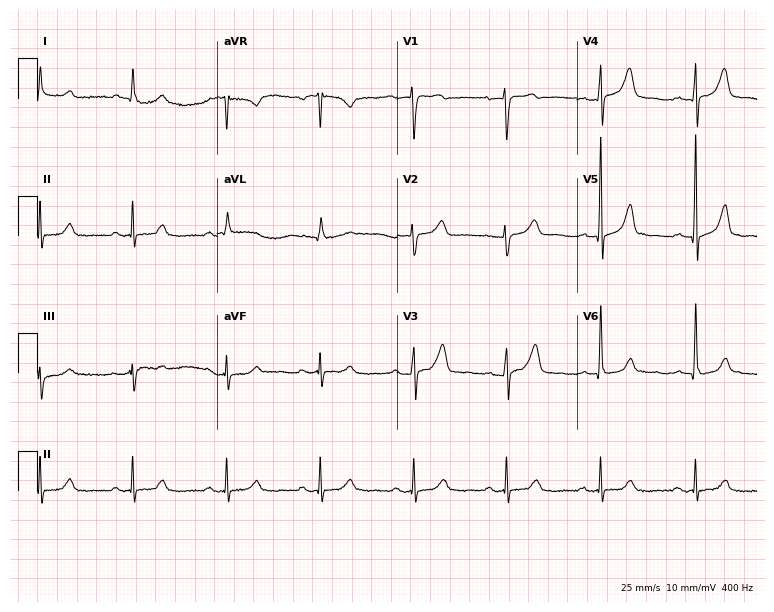
Electrocardiogram (7.3-second recording at 400 Hz), a male patient, 78 years old. Overall reading on record: normal ECG.